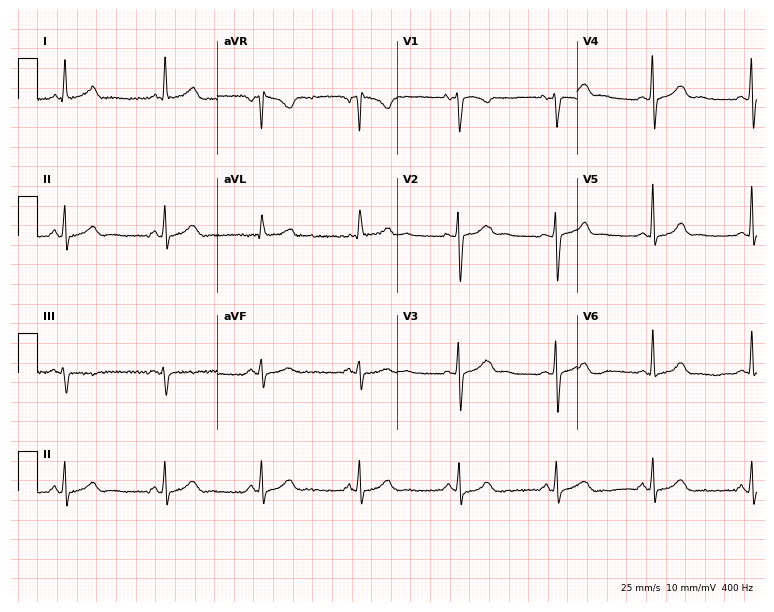
Standard 12-lead ECG recorded from a female patient, 39 years old. Read as a normal ECG.